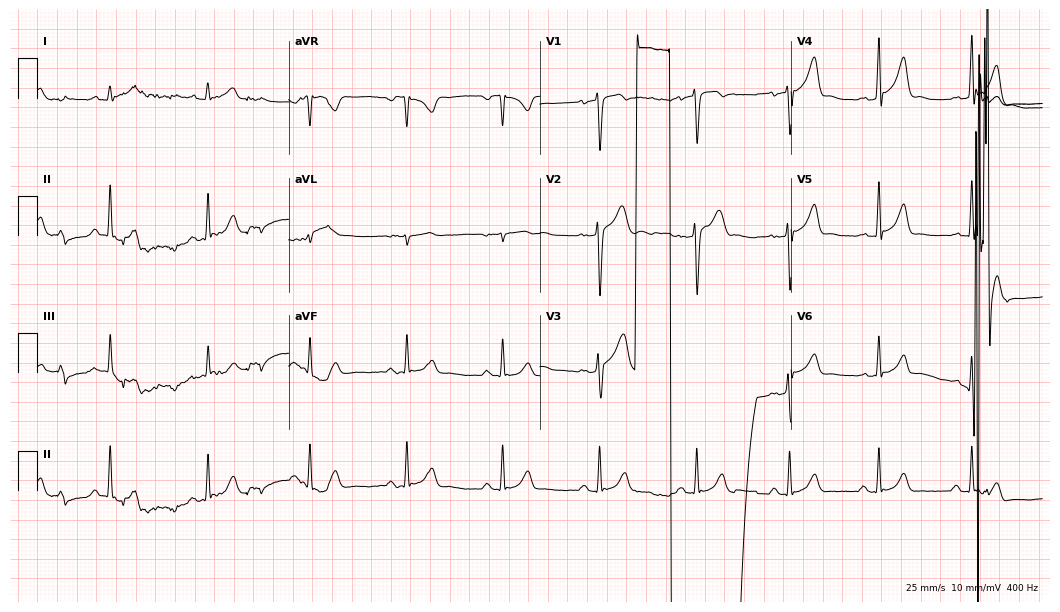
Resting 12-lead electrocardiogram. Patient: a 27-year-old male. None of these six findings is recorded: first-degree AV block, right bundle branch block, left bundle branch block, sinus bradycardia, atrial fibrillation, sinus tachycardia.